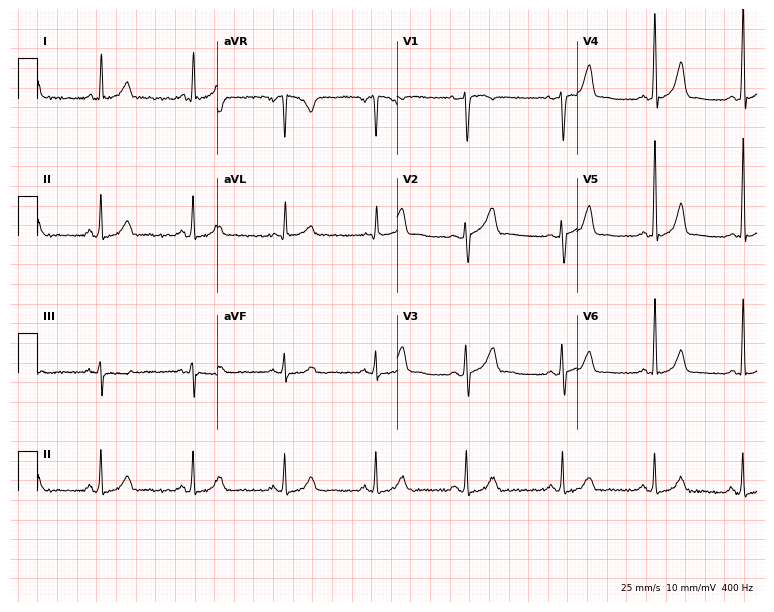
Resting 12-lead electrocardiogram (7.3-second recording at 400 Hz). Patient: a female, 42 years old. None of these six findings is recorded: first-degree AV block, right bundle branch block, left bundle branch block, sinus bradycardia, atrial fibrillation, sinus tachycardia.